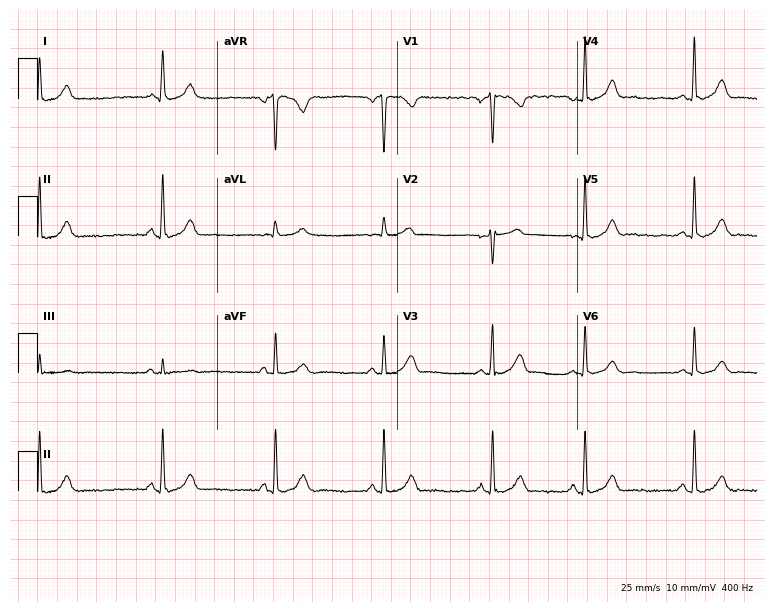
Resting 12-lead electrocardiogram. Patient: a 28-year-old female. Read as a normal ECG.